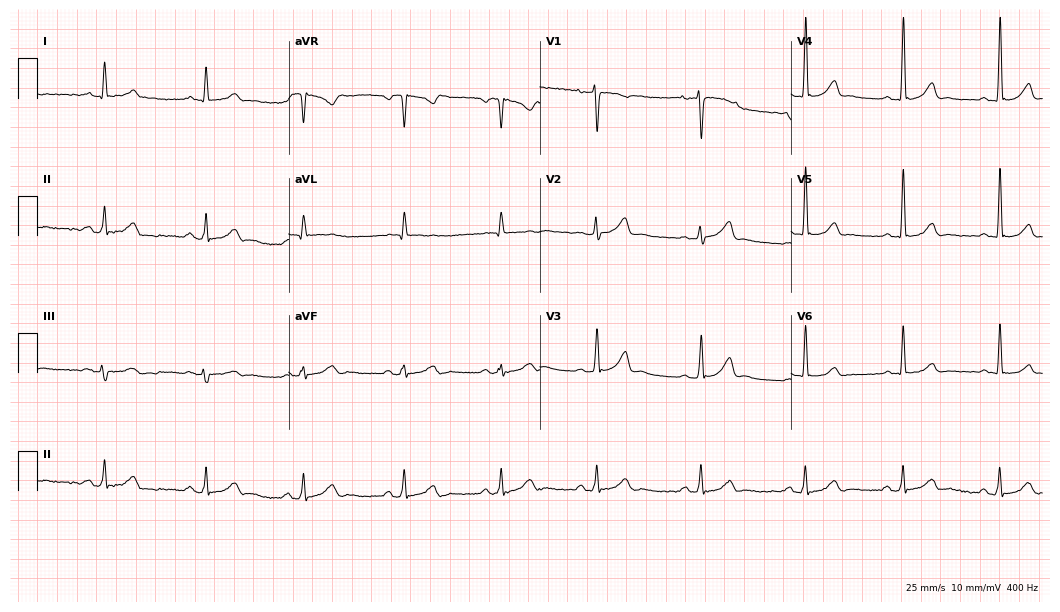
ECG — a 30-year-old female patient. Labelled as a normal ECG.